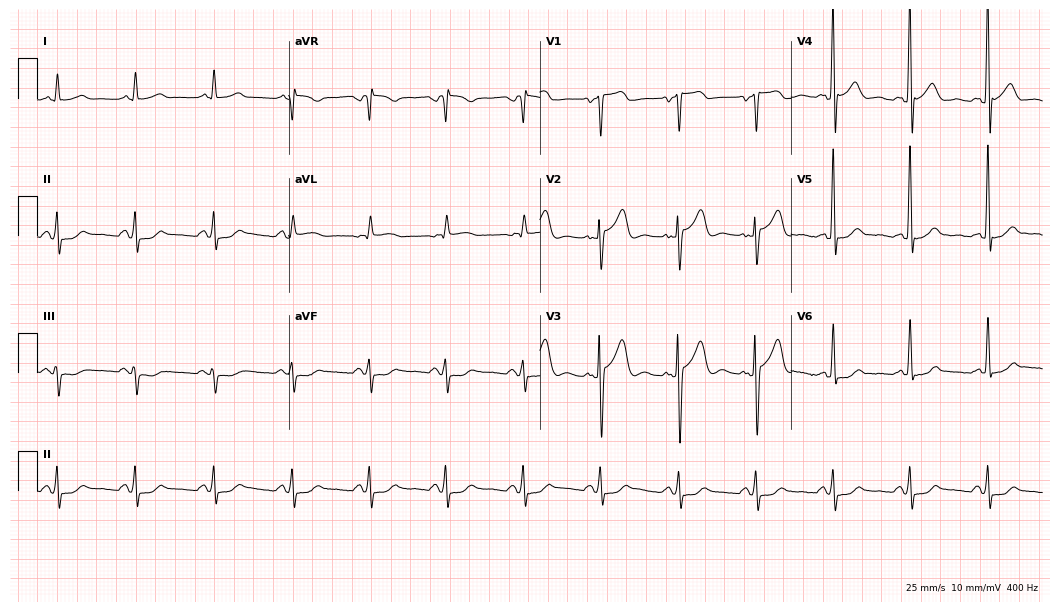
Standard 12-lead ECG recorded from a man, 63 years old (10.2-second recording at 400 Hz). None of these six findings is recorded: first-degree AV block, right bundle branch block, left bundle branch block, sinus bradycardia, atrial fibrillation, sinus tachycardia.